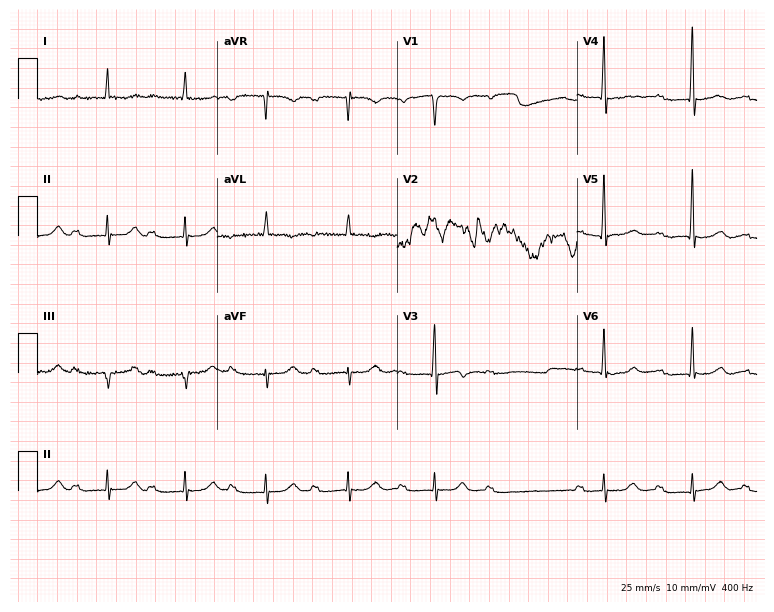
Electrocardiogram (7.3-second recording at 400 Hz), an 82-year-old male. Of the six screened findings (first-degree AV block, right bundle branch block, left bundle branch block, sinus bradycardia, atrial fibrillation, sinus tachycardia), none is recorded. Only these six findings were labelled.